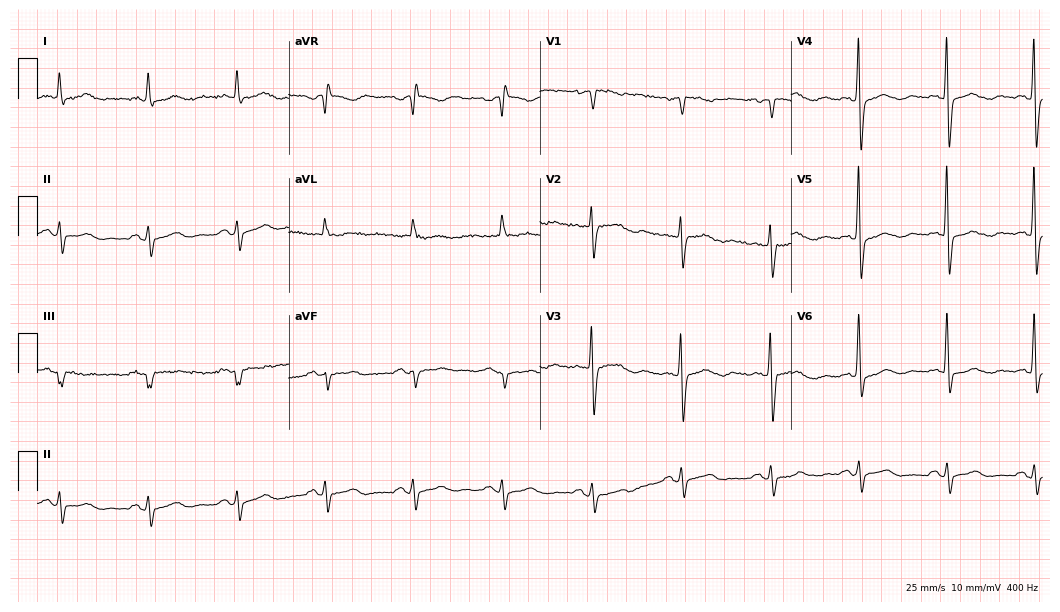
12-lead ECG from a 74-year-old woman. No first-degree AV block, right bundle branch block (RBBB), left bundle branch block (LBBB), sinus bradycardia, atrial fibrillation (AF) or sinus tachycardia recorded for this tracing.